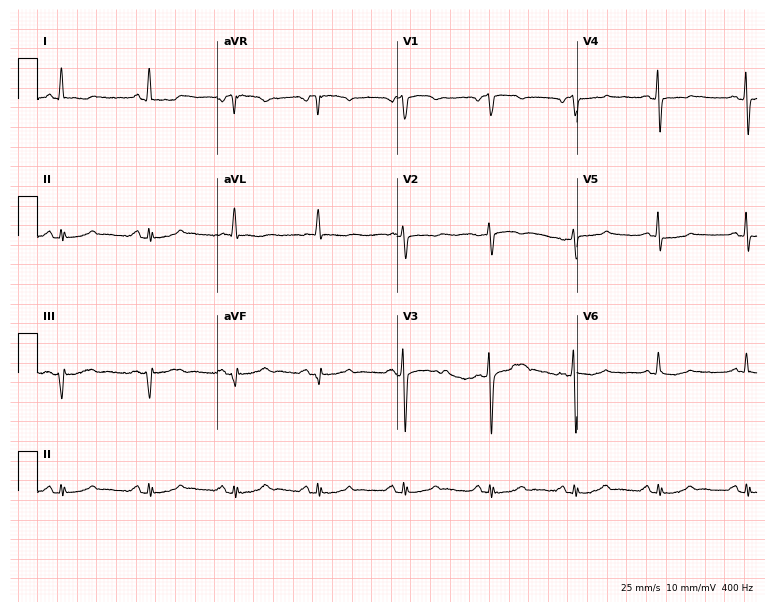
Resting 12-lead electrocardiogram (7.3-second recording at 400 Hz). Patient: a male, 79 years old. None of these six findings is recorded: first-degree AV block, right bundle branch block (RBBB), left bundle branch block (LBBB), sinus bradycardia, atrial fibrillation (AF), sinus tachycardia. Other findings, if any, are not listed.